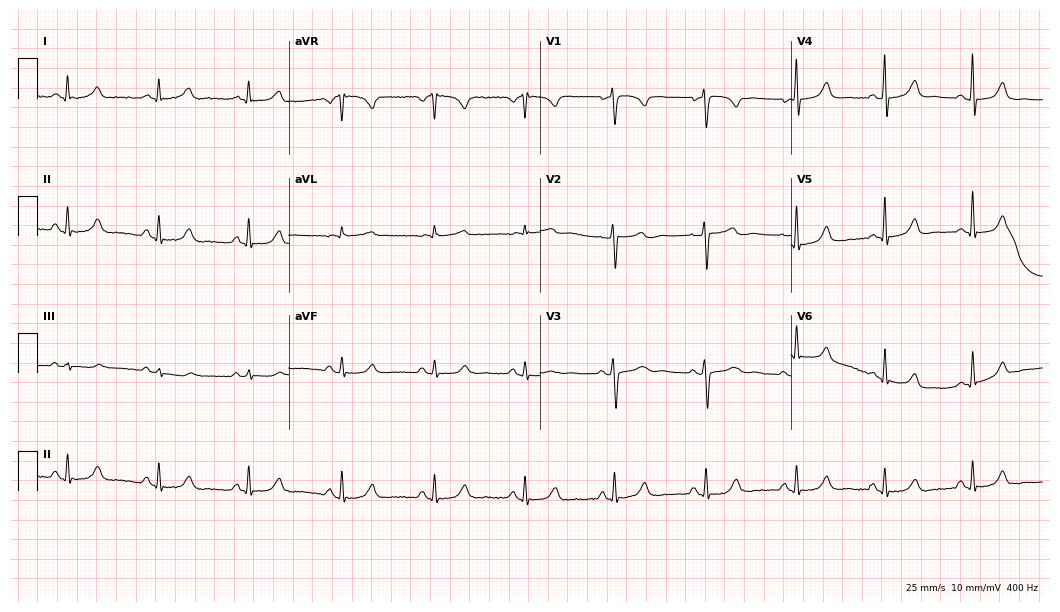
12-lead ECG from a 50-year-old female (10.2-second recording at 400 Hz). Recorded interpretation: within normal limits.